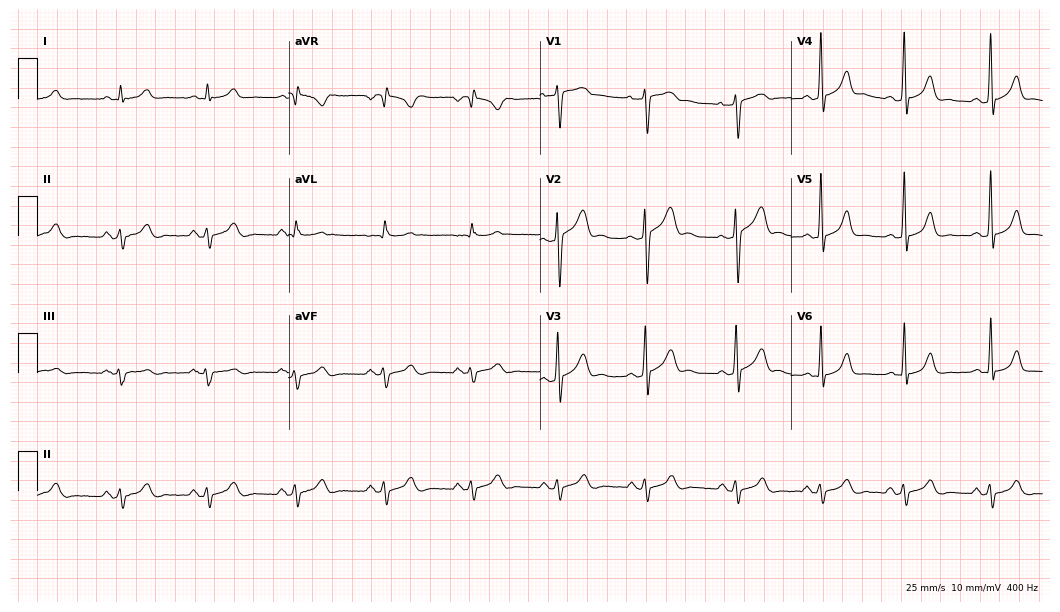
Standard 12-lead ECG recorded from a man, 32 years old (10.2-second recording at 400 Hz). None of these six findings is recorded: first-degree AV block, right bundle branch block, left bundle branch block, sinus bradycardia, atrial fibrillation, sinus tachycardia. Only these six findings were labelled.